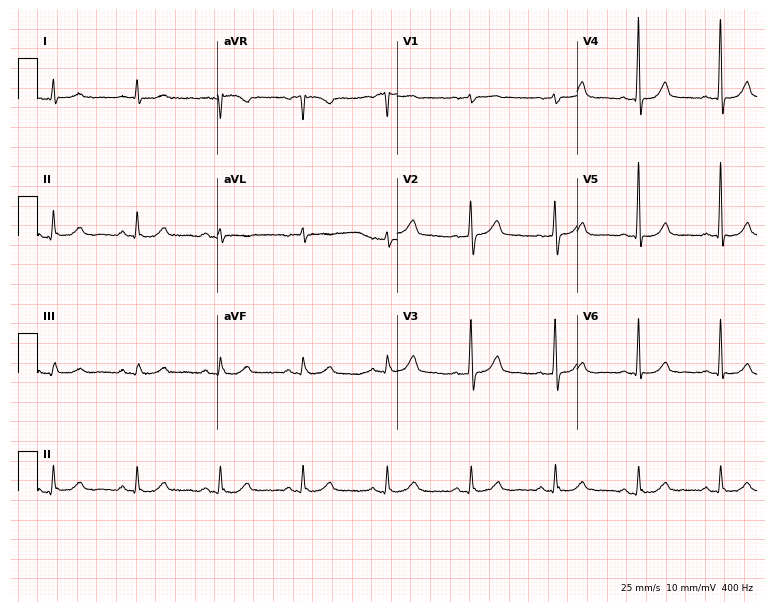
12-lead ECG from a male patient, 79 years old. Labelled as a normal ECG.